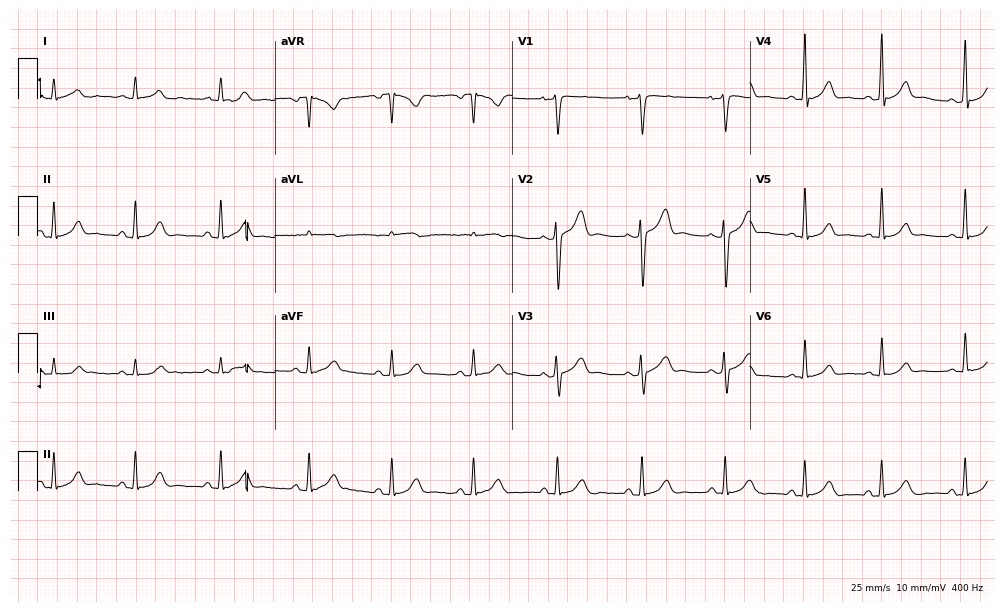
Standard 12-lead ECG recorded from a 40-year-old man (9.7-second recording at 400 Hz). Read as a normal ECG.